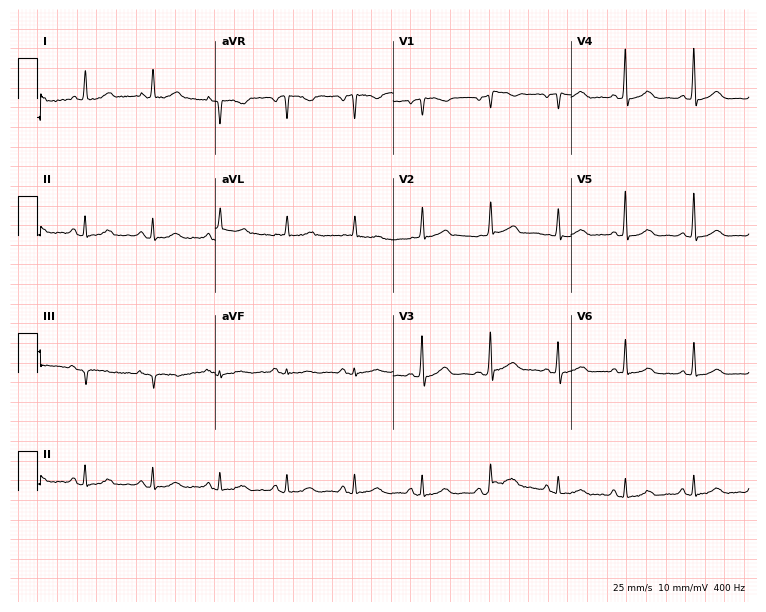
ECG (7.3-second recording at 400 Hz) — a 74-year-old female patient. Labelled as a normal ECG.